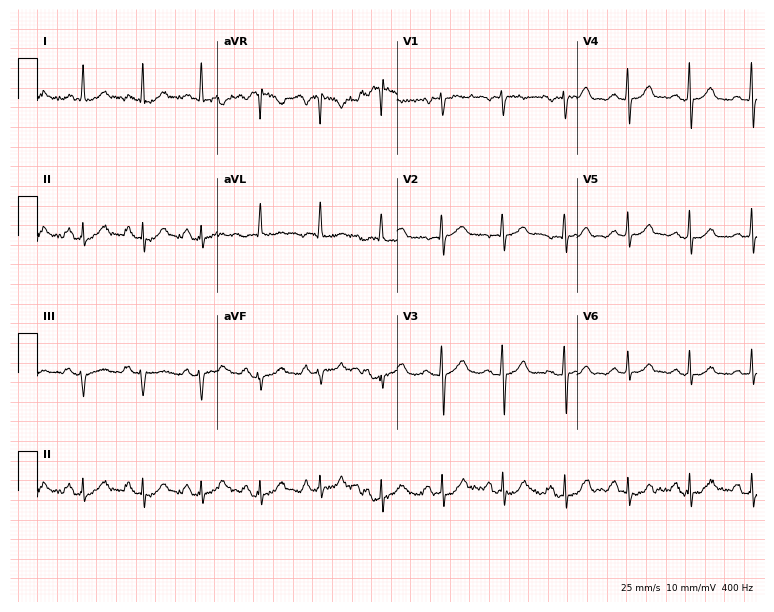
Electrocardiogram, a 61-year-old woman. Overall reading on record: normal ECG.